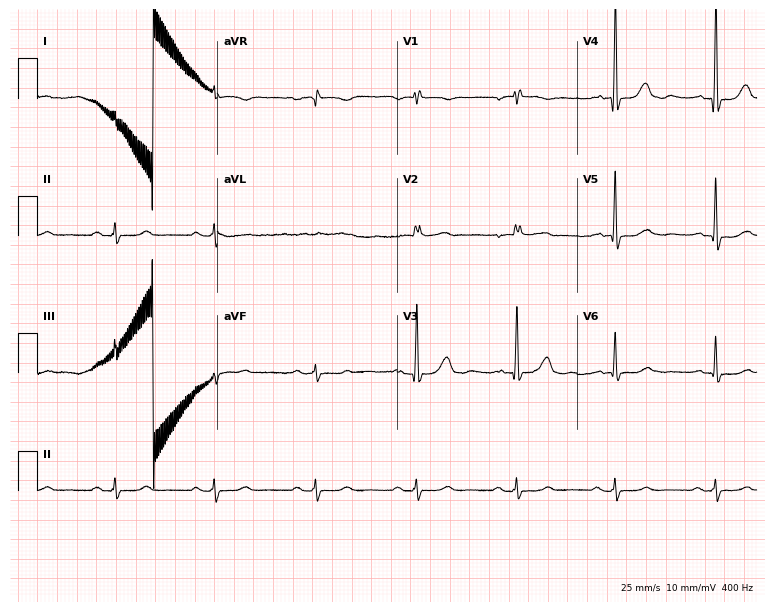
Resting 12-lead electrocardiogram (7.3-second recording at 400 Hz). Patient: a female, 72 years old. None of these six findings is recorded: first-degree AV block, right bundle branch block, left bundle branch block, sinus bradycardia, atrial fibrillation, sinus tachycardia.